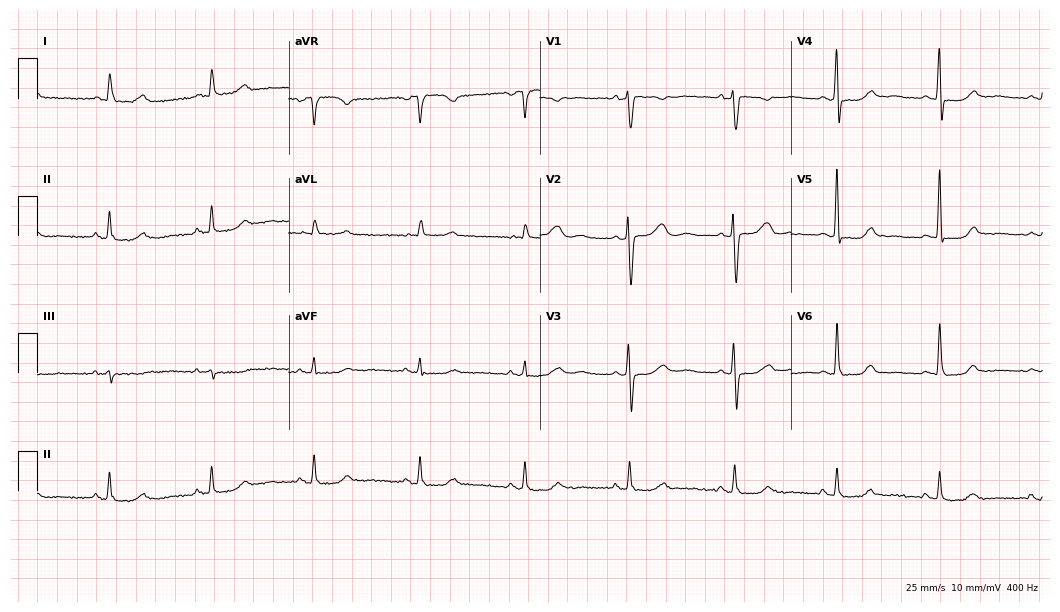
12-lead ECG from a 76-year-old female patient. Screened for six findings — first-degree AV block, right bundle branch block, left bundle branch block, sinus bradycardia, atrial fibrillation, sinus tachycardia — none is recorded.